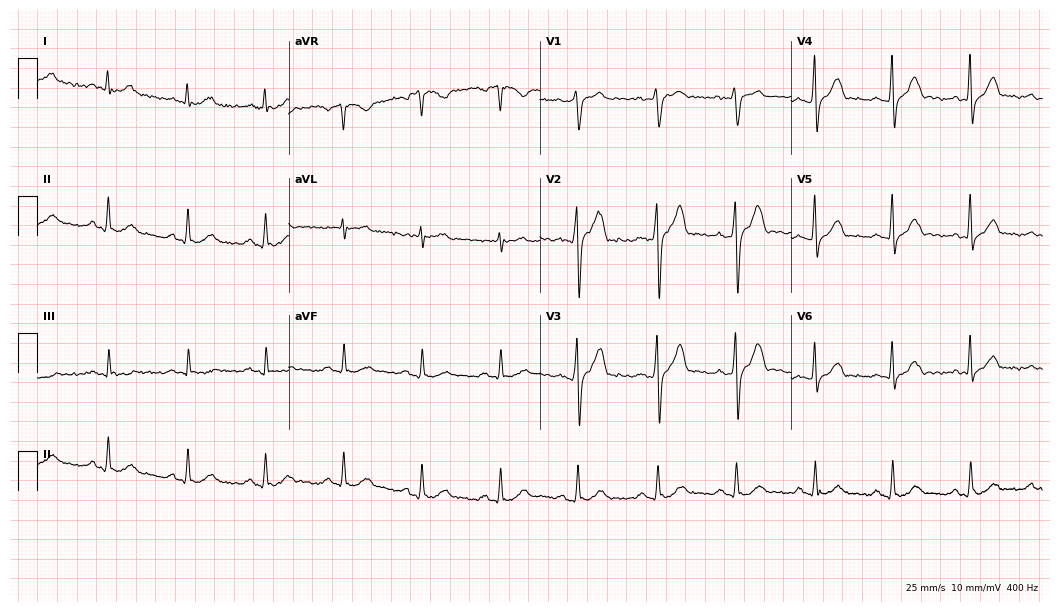
12-lead ECG from a 38-year-old male (10.2-second recording at 400 Hz). Recorded interpretation: within normal limits.